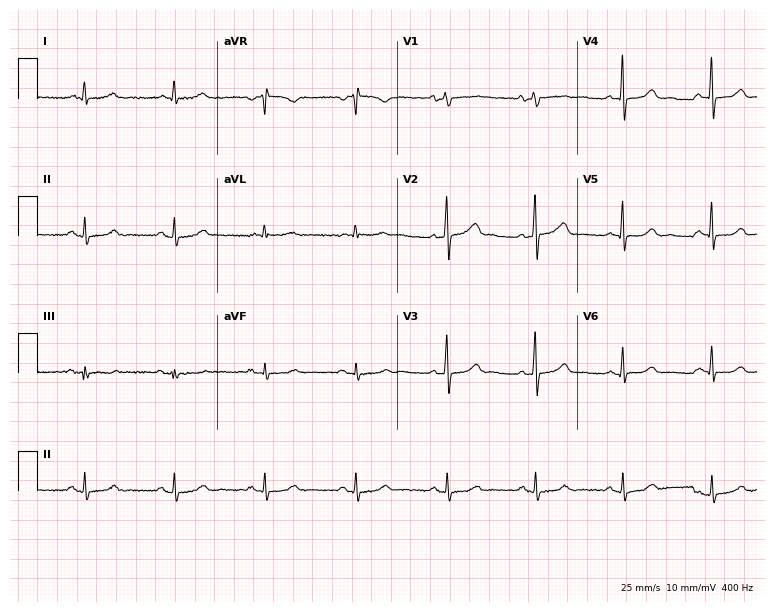
ECG — a 66-year-old man. Labelled as a normal ECG.